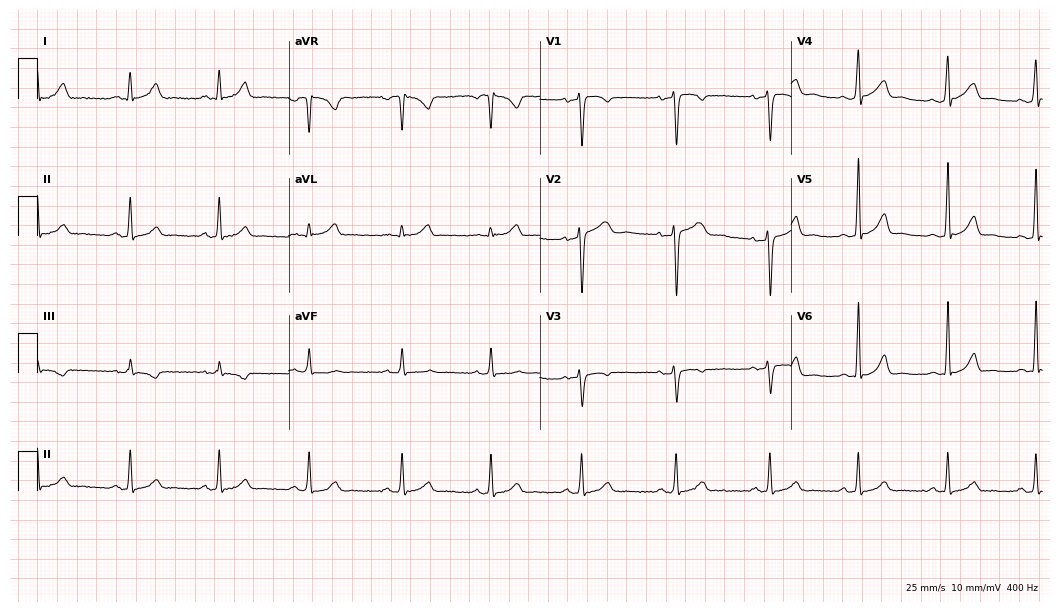
Resting 12-lead electrocardiogram. Patient: a 31-year-old man. Read as a normal ECG.